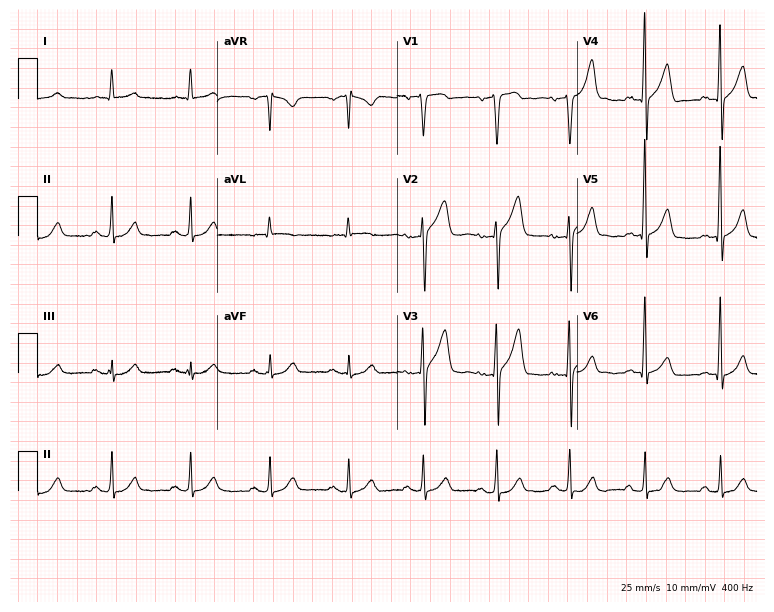
12-lead ECG from a 60-year-old male. No first-degree AV block, right bundle branch block, left bundle branch block, sinus bradycardia, atrial fibrillation or sinus tachycardia recorded for this tracing.